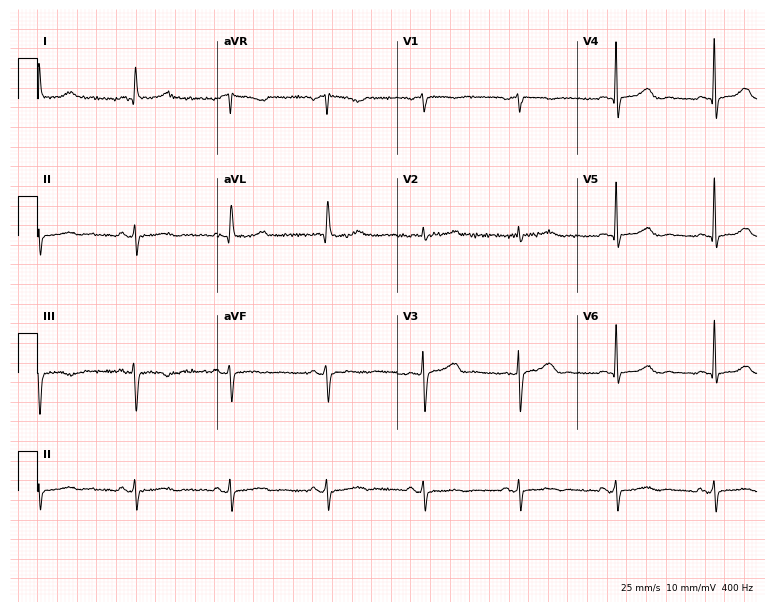
Standard 12-lead ECG recorded from an 84-year-old female patient. None of these six findings is recorded: first-degree AV block, right bundle branch block, left bundle branch block, sinus bradycardia, atrial fibrillation, sinus tachycardia.